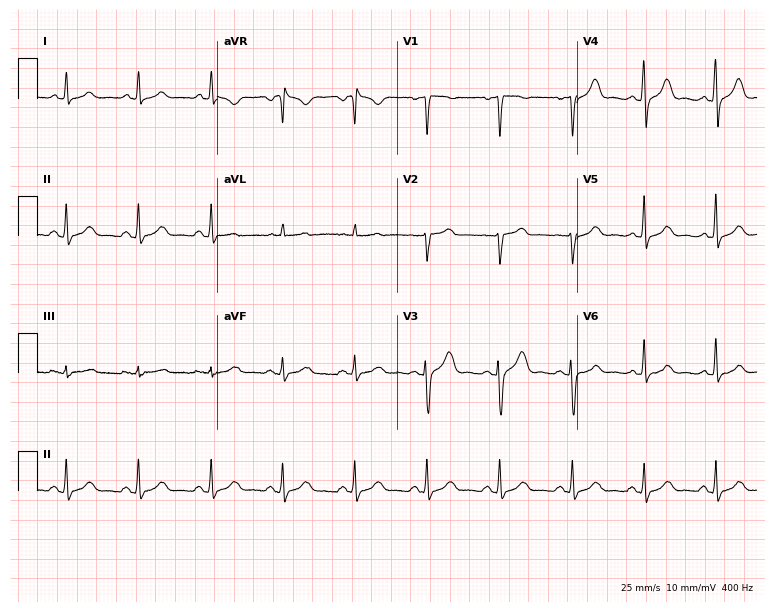
Standard 12-lead ECG recorded from a 43-year-old female patient (7.3-second recording at 400 Hz). Read as a normal ECG.